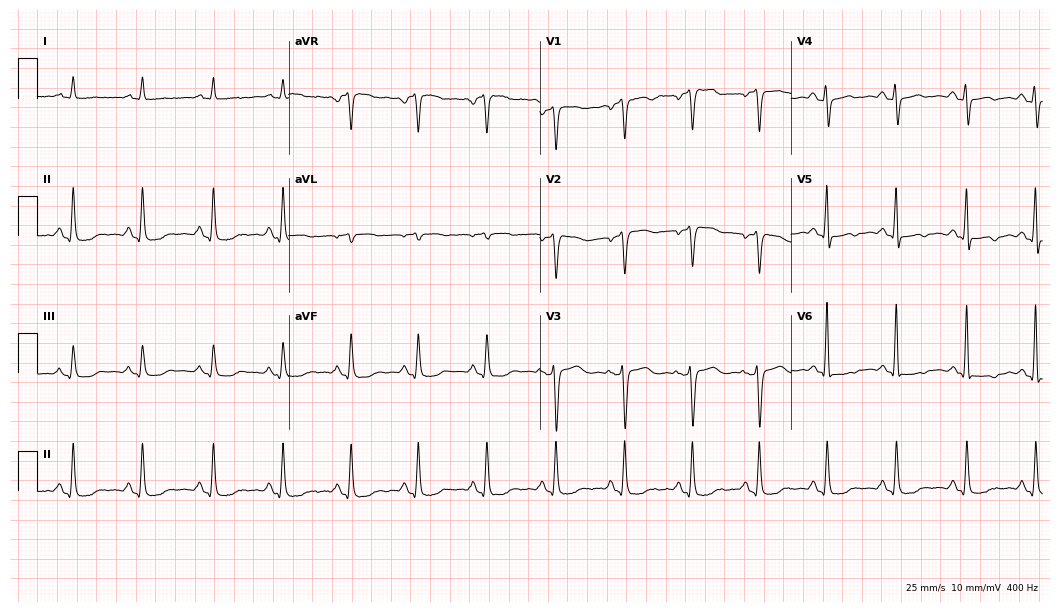
12-lead ECG (10.2-second recording at 400 Hz) from a 59-year-old female. Screened for six findings — first-degree AV block, right bundle branch block, left bundle branch block, sinus bradycardia, atrial fibrillation, sinus tachycardia — none is recorded.